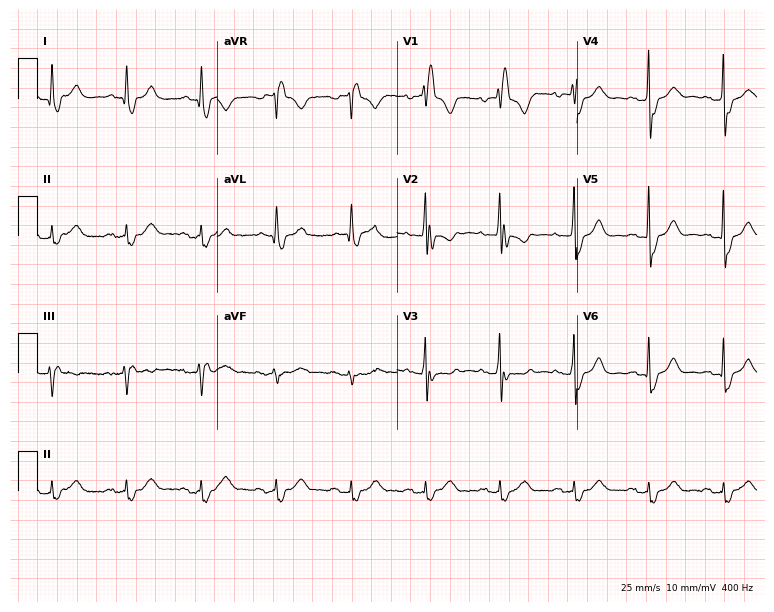
Resting 12-lead electrocardiogram. Patient: a male, 69 years old. The tracing shows right bundle branch block.